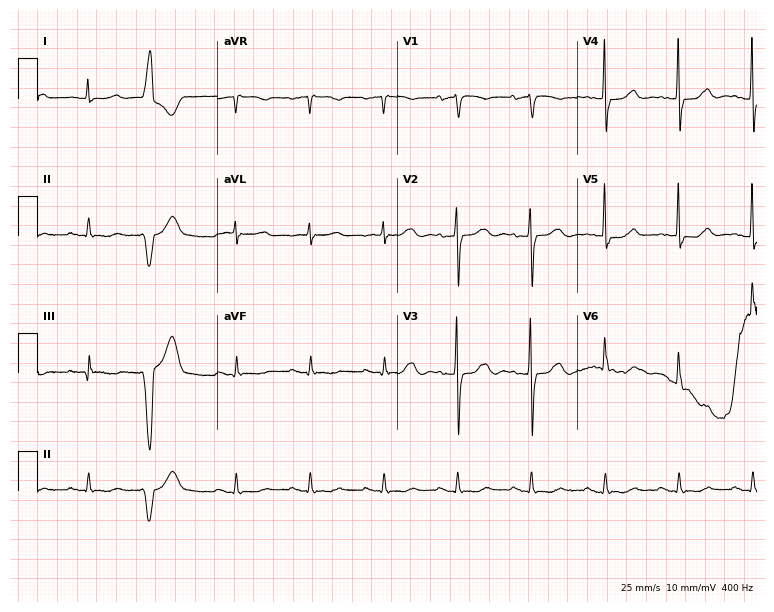
12-lead ECG from an 85-year-old female patient (7.3-second recording at 400 Hz). No first-degree AV block, right bundle branch block, left bundle branch block, sinus bradycardia, atrial fibrillation or sinus tachycardia recorded for this tracing.